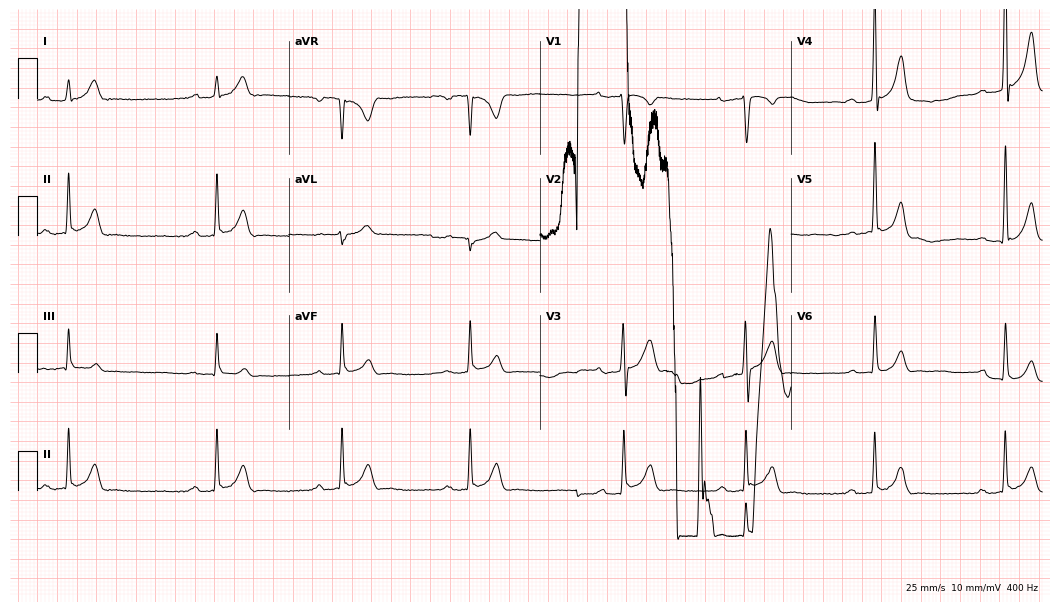
Resting 12-lead electrocardiogram (10.2-second recording at 400 Hz). Patient: a male, 26 years old. The tracing shows first-degree AV block.